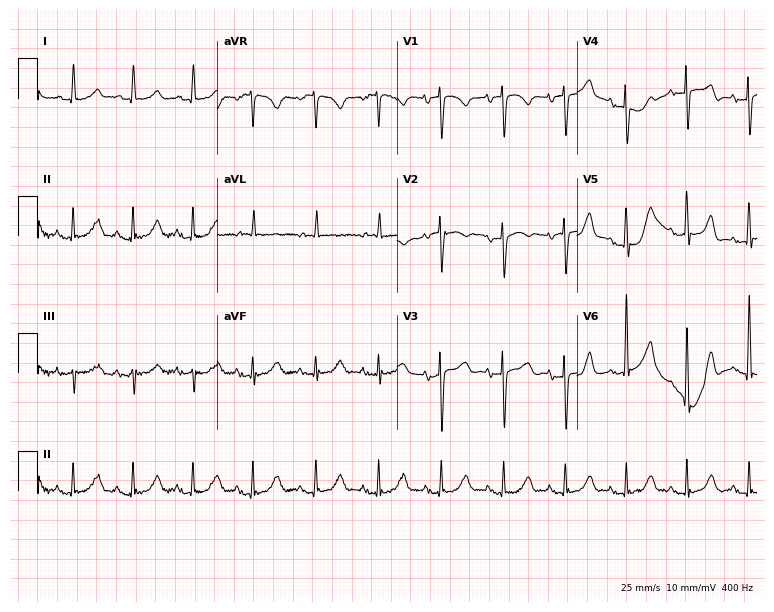
Electrocardiogram, a female patient, 84 years old. Of the six screened findings (first-degree AV block, right bundle branch block, left bundle branch block, sinus bradycardia, atrial fibrillation, sinus tachycardia), none is recorded.